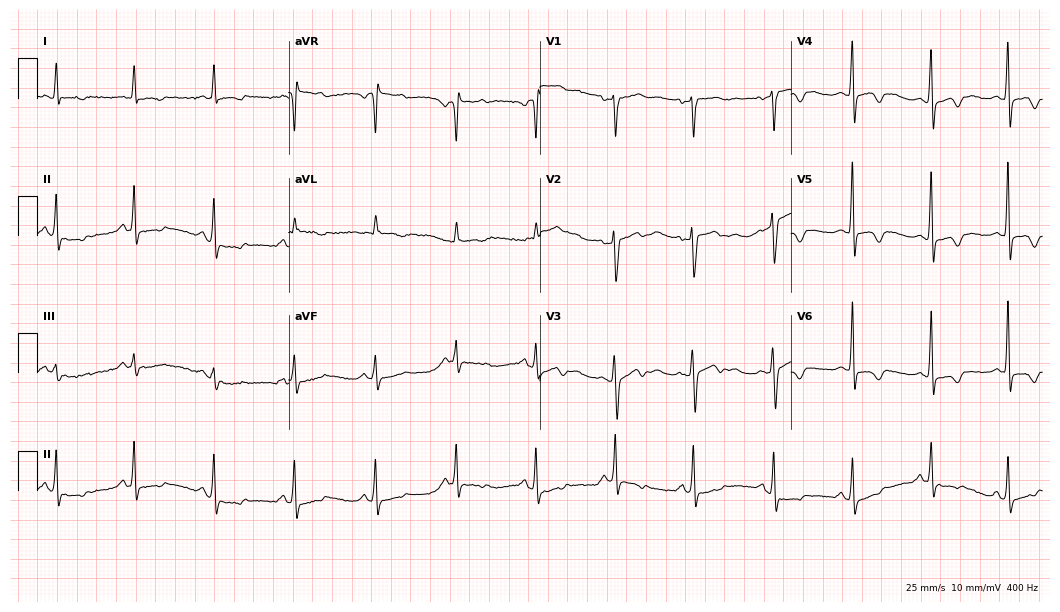
ECG — a 62-year-old female patient. Screened for six findings — first-degree AV block, right bundle branch block, left bundle branch block, sinus bradycardia, atrial fibrillation, sinus tachycardia — none is recorded.